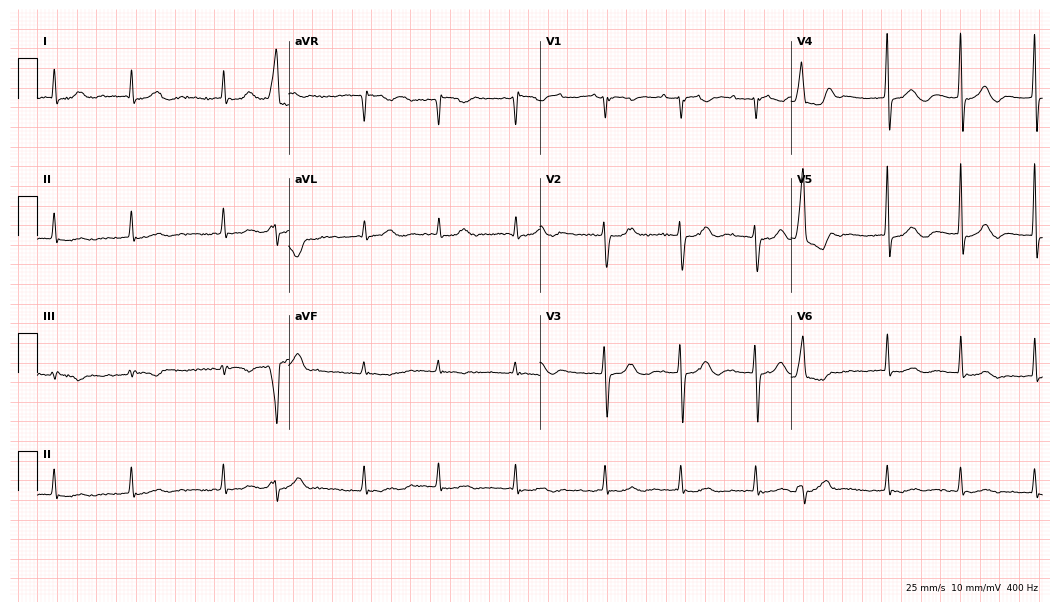
Standard 12-lead ECG recorded from an 84-year-old woman (10.2-second recording at 400 Hz). The tracing shows atrial fibrillation.